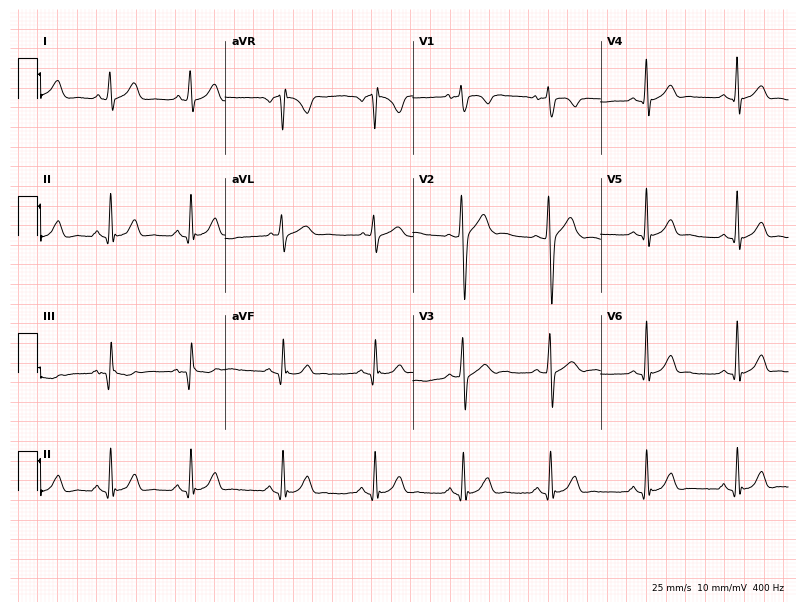
ECG (7.7-second recording at 400 Hz) — a male, 18 years old. Labelled as a normal ECG.